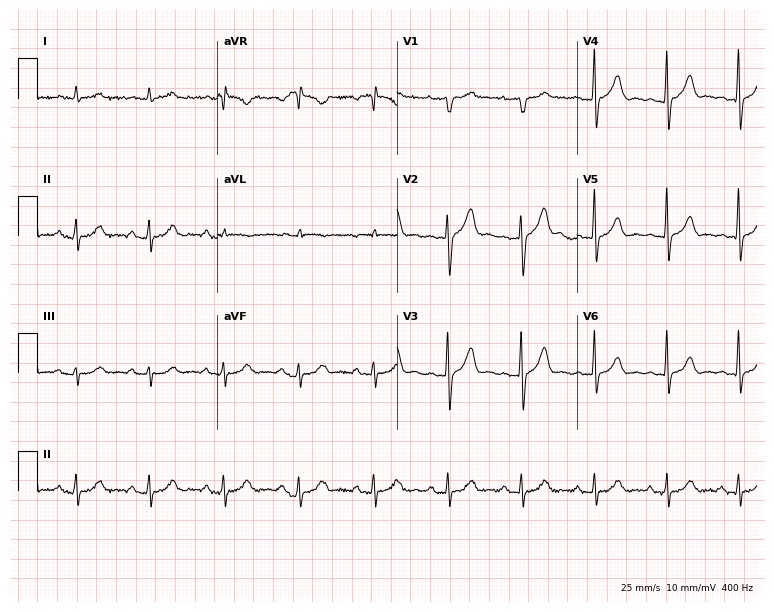
Standard 12-lead ECG recorded from a 66-year-old man. None of these six findings is recorded: first-degree AV block, right bundle branch block (RBBB), left bundle branch block (LBBB), sinus bradycardia, atrial fibrillation (AF), sinus tachycardia.